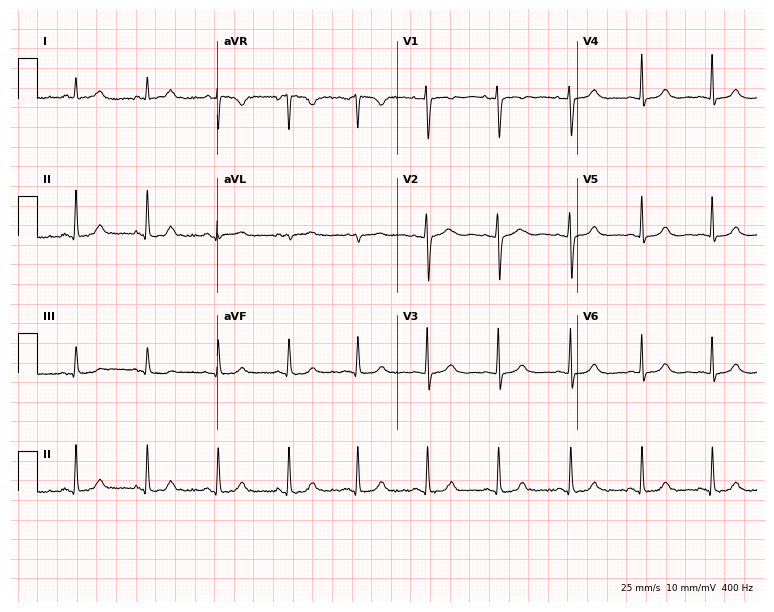
Electrocardiogram (7.3-second recording at 400 Hz), a 45-year-old woman. Overall reading on record: normal ECG.